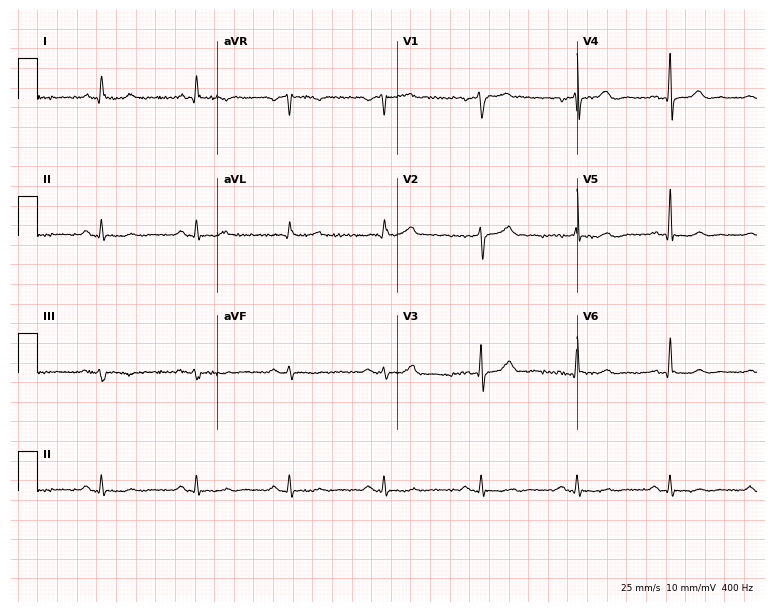
12-lead ECG from a man, 55 years old. No first-degree AV block, right bundle branch block (RBBB), left bundle branch block (LBBB), sinus bradycardia, atrial fibrillation (AF) or sinus tachycardia recorded for this tracing.